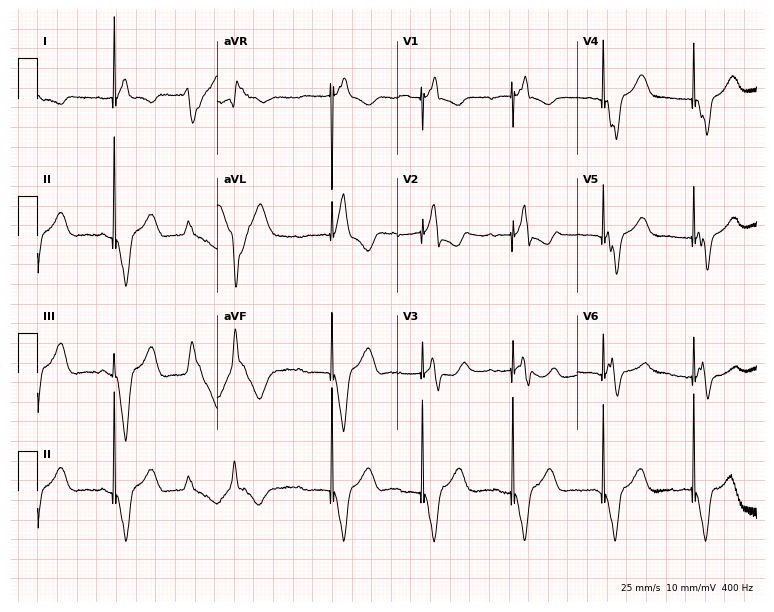
Standard 12-lead ECG recorded from a 79-year-old male. None of these six findings is recorded: first-degree AV block, right bundle branch block (RBBB), left bundle branch block (LBBB), sinus bradycardia, atrial fibrillation (AF), sinus tachycardia. Findings outside these six are not listed.